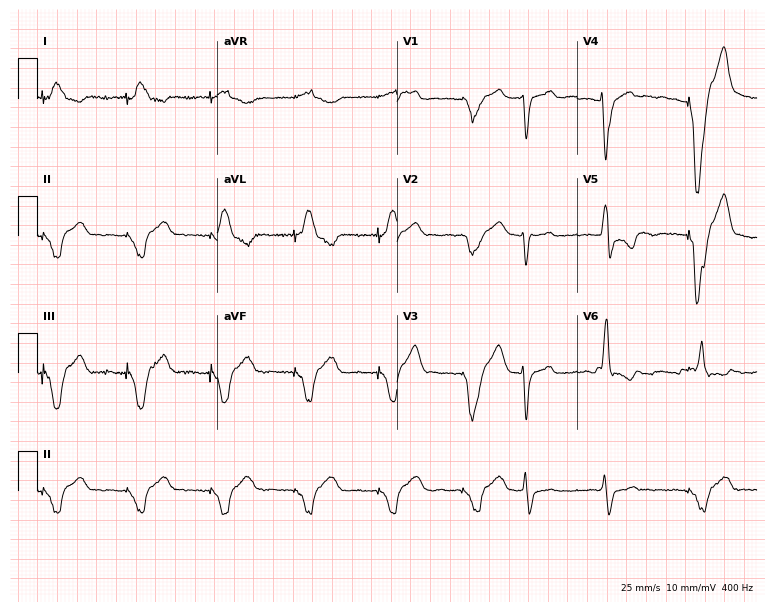
Standard 12-lead ECG recorded from a male, 84 years old. None of these six findings is recorded: first-degree AV block, right bundle branch block, left bundle branch block, sinus bradycardia, atrial fibrillation, sinus tachycardia. Findings outside these six are not listed.